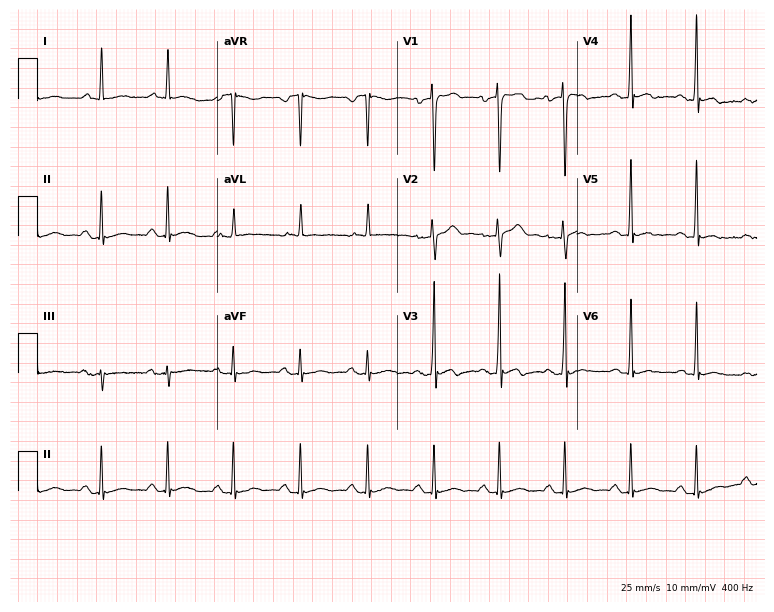
12-lead ECG from a male, 52 years old. Screened for six findings — first-degree AV block, right bundle branch block, left bundle branch block, sinus bradycardia, atrial fibrillation, sinus tachycardia — none is recorded. Findings outside these six are not listed.